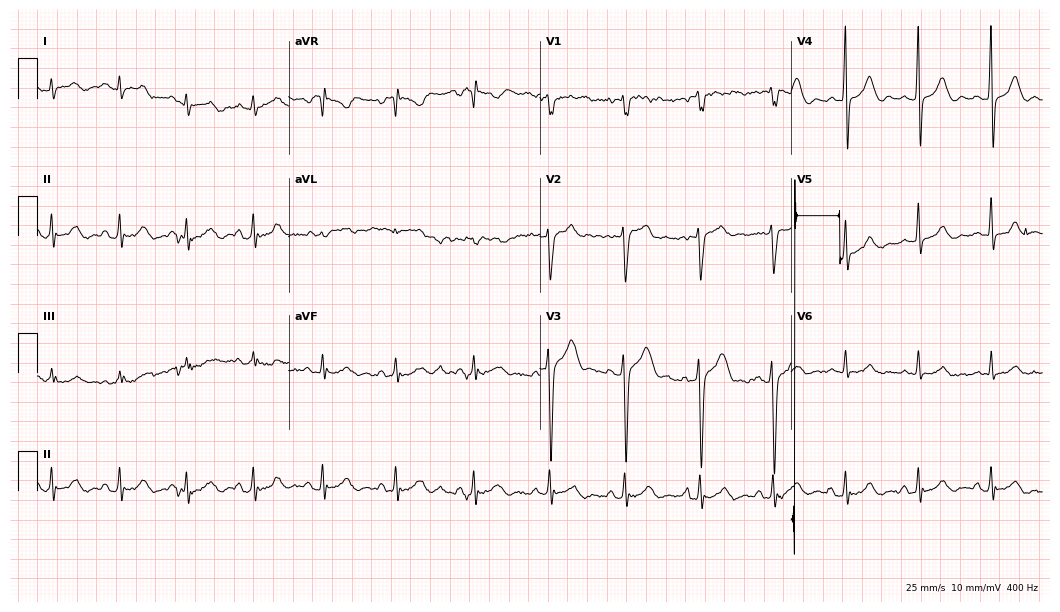
ECG (10.2-second recording at 400 Hz) — a male, 23 years old. Screened for six findings — first-degree AV block, right bundle branch block, left bundle branch block, sinus bradycardia, atrial fibrillation, sinus tachycardia — none is recorded. Other findings, if any, are not listed.